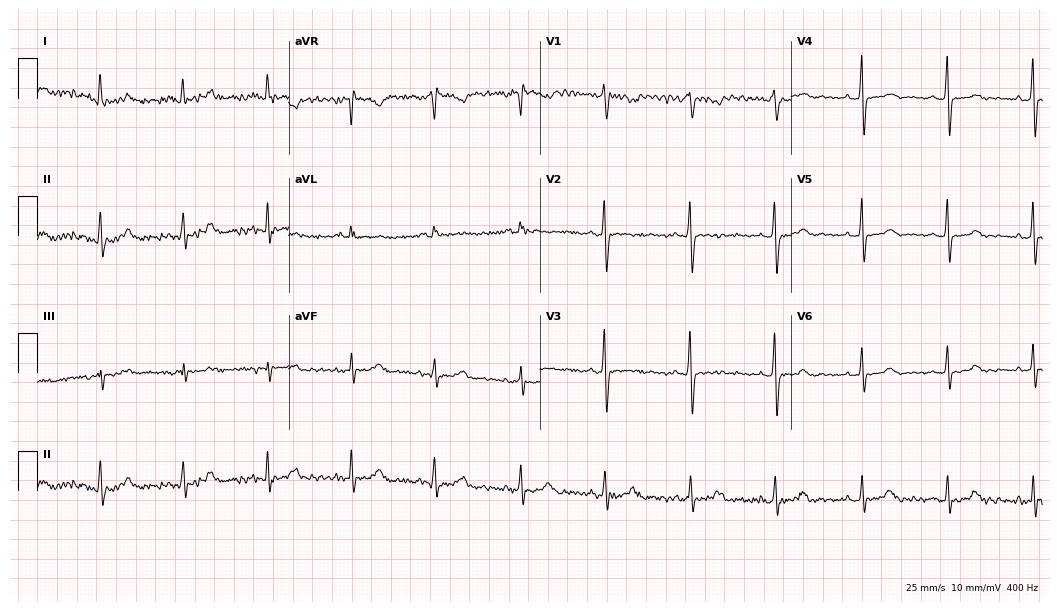
Standard 12-lead ECG recorded from a female patient, 44 years old. None of these six findings is recorded: first-degree AV block, right bundle branch block, left bundle branch block, sinus bradycardia, atrial fibrillation, sinus tachycardia.